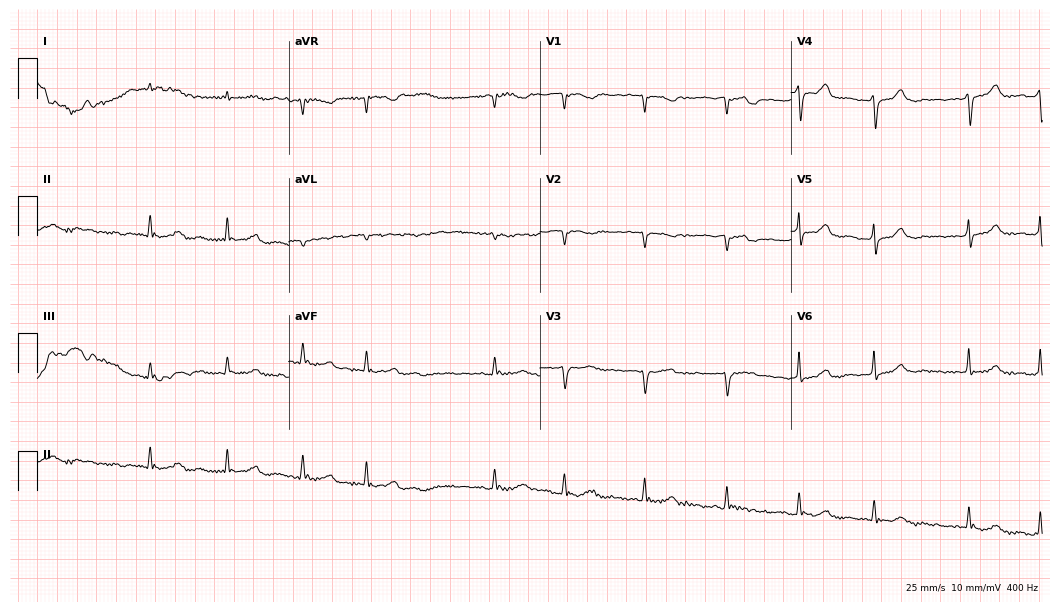
Standard 12-lead ECG recorded from a 78-year-old male (10.2-second recording at 400 Hz). None of these six findings is recorded: first-degree AV block, right bundle branch block (RBBB), left bundle branch block (LBBB), sinus bradycardia, atrial fibrillation (AF), sinus tachycardia.